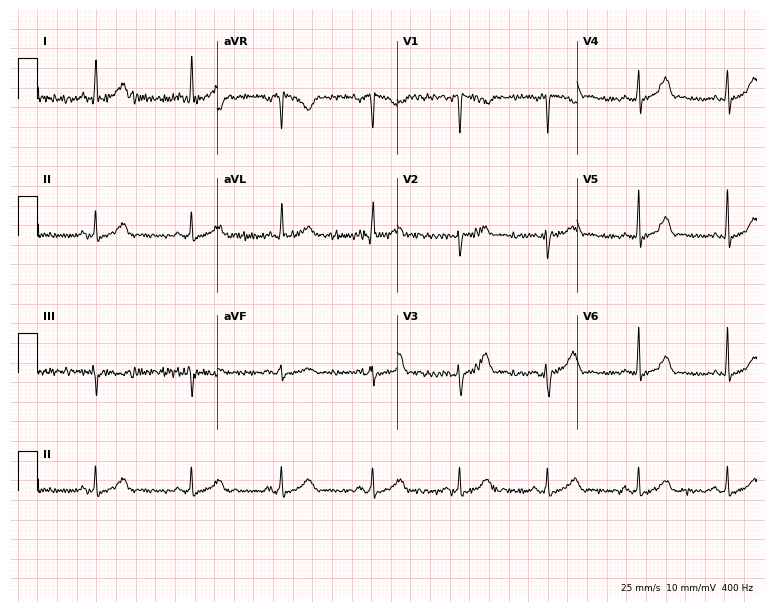
Standard 12-lead ECG recorded from a woman, 37 years old. Read as a normal ECG.